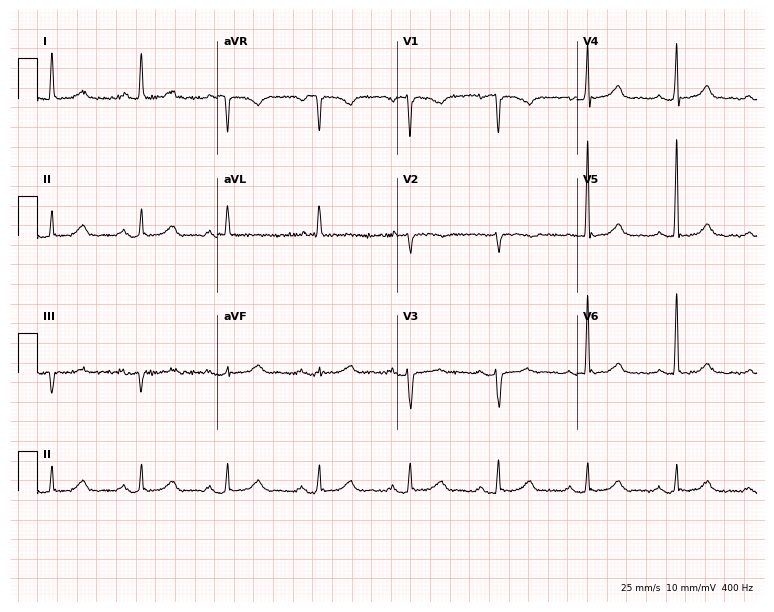
Electrocardiogram, a 75-year-old female patient. Overall reading on record: normal ECG.